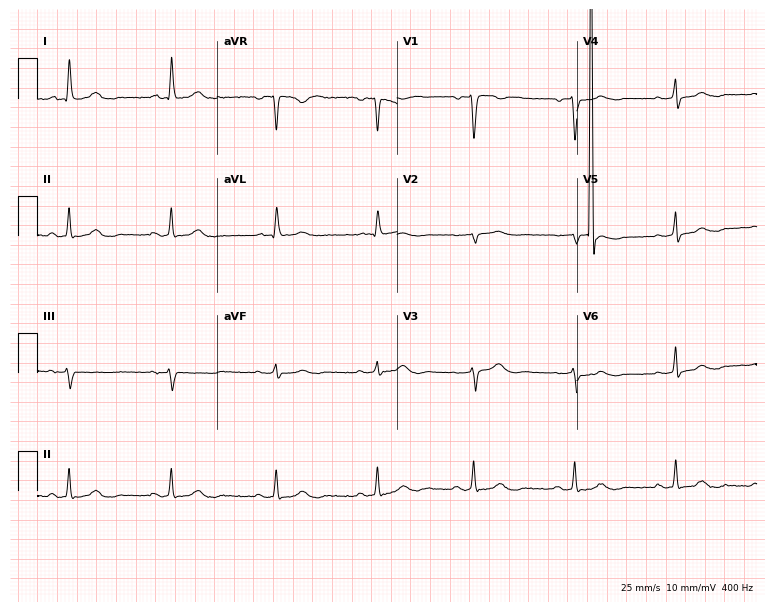
Resting 12-lead electrocardiogram (7.3-second recording at 400 Hz). Patient: a 53-year-old woman. None of these six findings is recorded: first-degree AV block, right bundle branch block, left bundle branch block, sinus bradycardia, atrial fibrillation, sinus tachycardia.